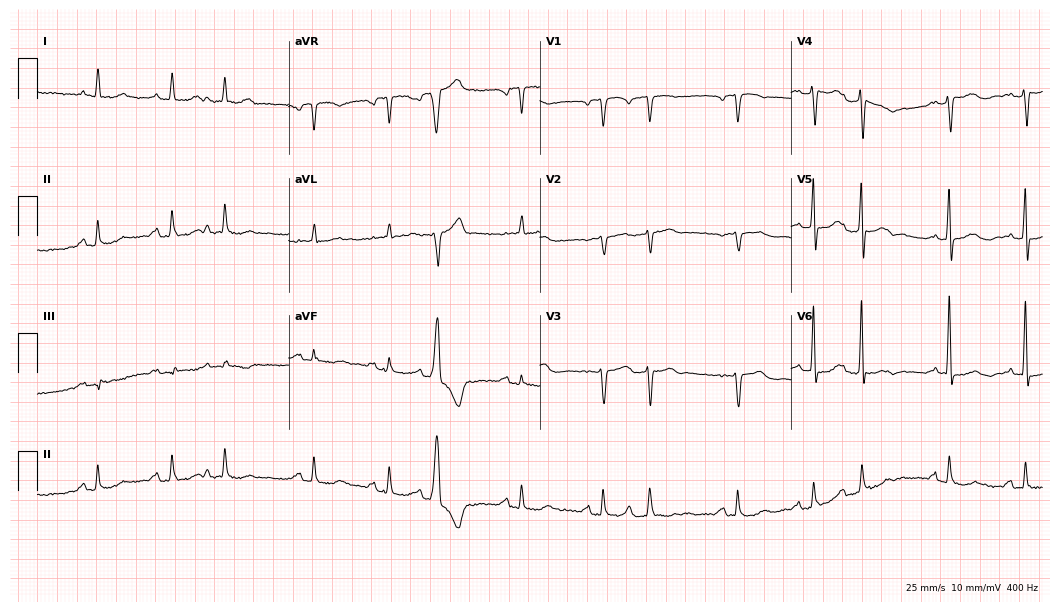
Electrocardiogram, a female, 73 years old. Overall reading on record: normal ECG.